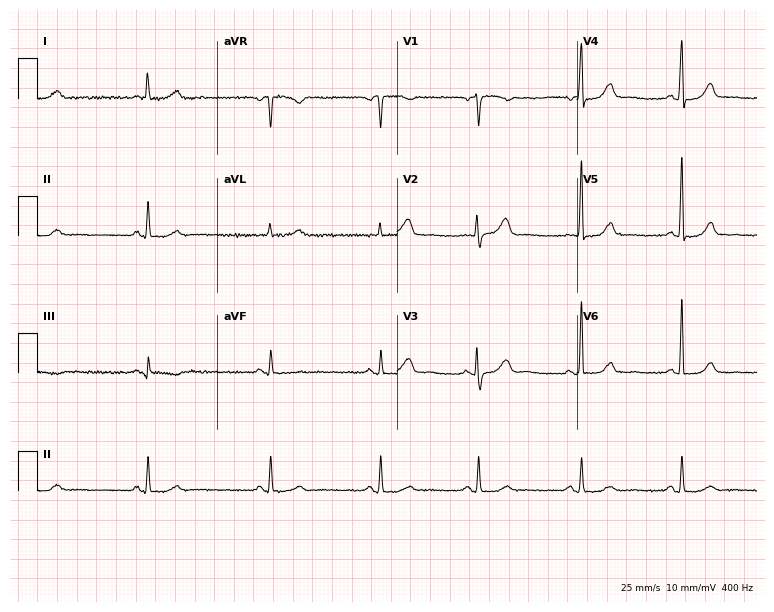
12-lead ECG from a woman, 83 years old. Recorded interpretation: within normal limits.